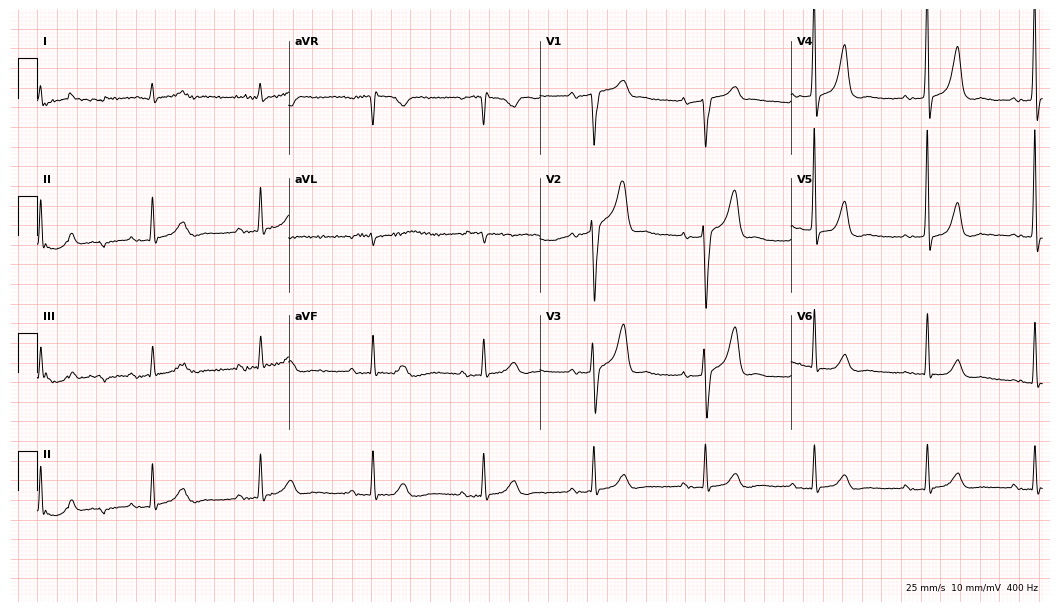
Resting 12-lead electrocardiogram. Patient: an 82-year-old male. None of these six findings is recorded: first-degree AV block, right bundle branch block, left bundle branch block, sinus bradycardia, atrial fibrillation, sinus tachycardia.